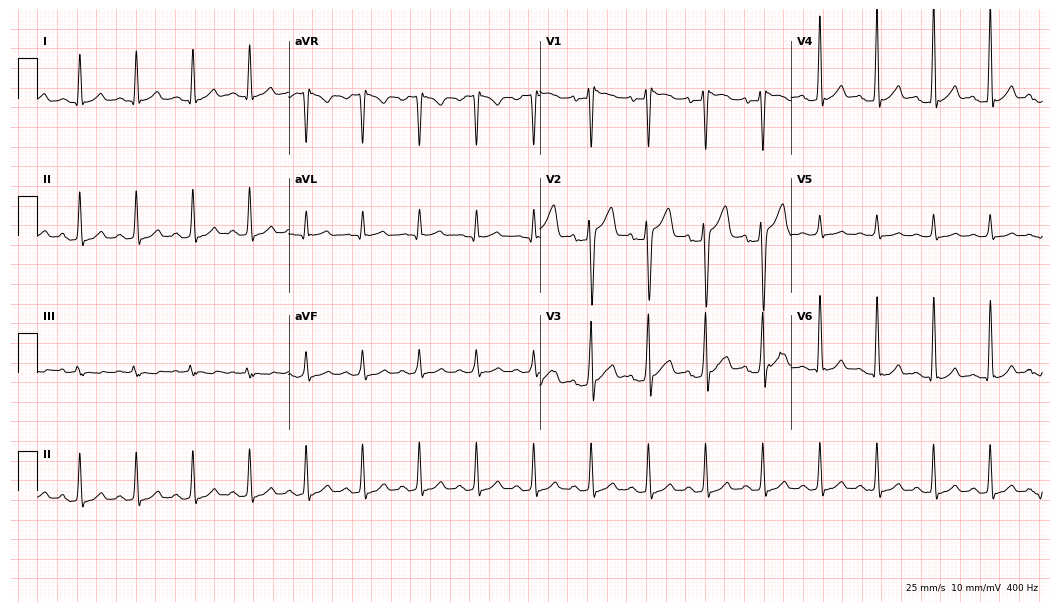
Standard 12-lead ECG recorded from a male, 30 years old (10.2-second recording at 400 Hz). The tracing shows sinus tachycardia (a sinus rate of 100 beats per minute or more).